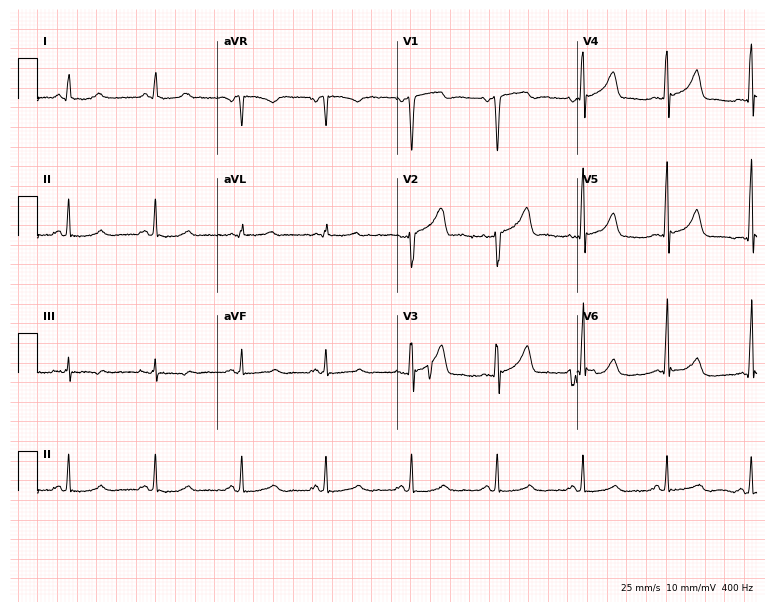
12-lead ECG from a man, 46 years old (7.3-second recording at 400 Hz). No first-degree AV block, right bundle branch block, left bundle branch block, sinus bradycardia, atrial fibrillation or sinus tachycardia recorded for this tracing.